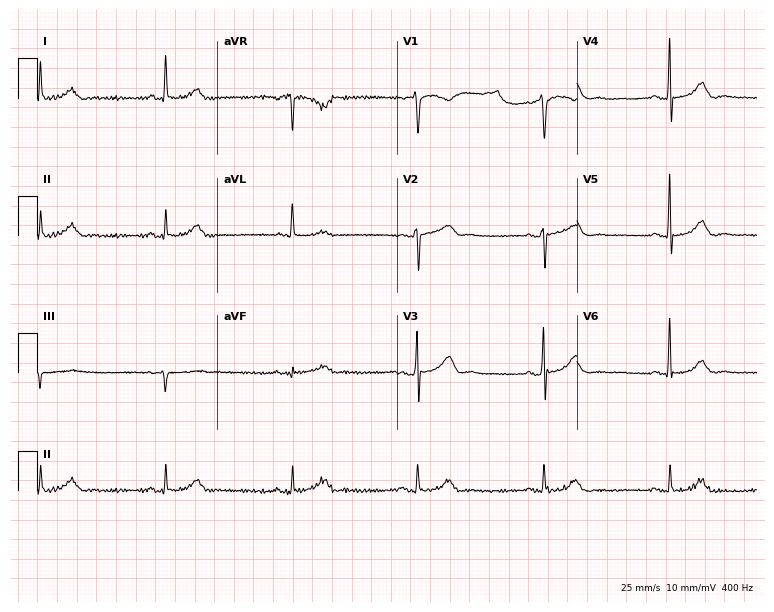
Resting 12-lead electrocardiogram (7.3-second recording at 400 Hz). Patient: a 60-year-old female. The tracing shows sinus bradycardia (a sinus rate of 50 beats per minute or less).